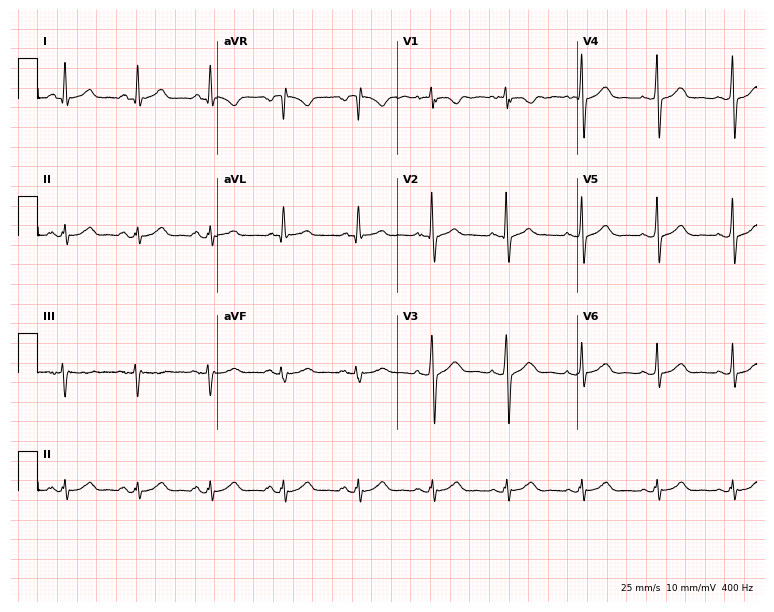
ECG (7.3-second recording at 400 Hz) — a 54-year-old man. Screened for six findings — first-degree AV block, right bundle branch block, left bundle branch block, sinus bradycardia, atrial fibrillation, sinus tachycardia — none is recorded.